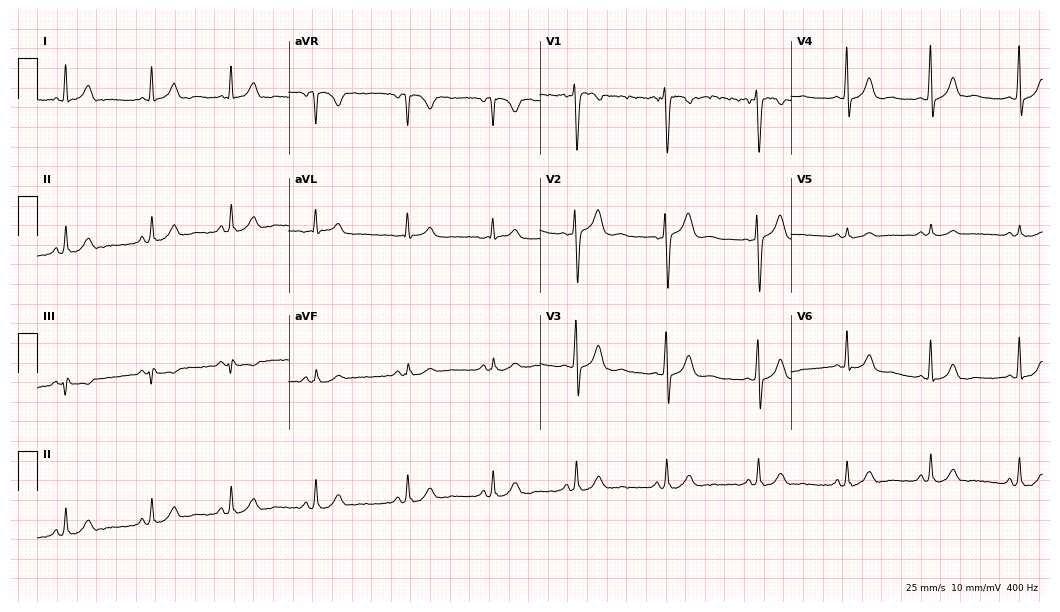
Electrocardiogram, a female patient, 28 years old. Overall reading on record: normal ECG.